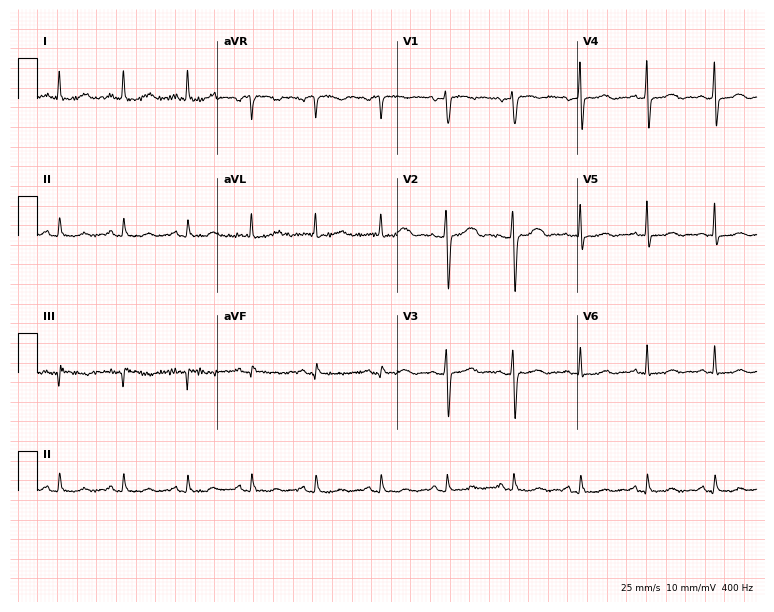
12-lead ECG from a 59-year-old female patient. Recorded interpretation: within normal limits.